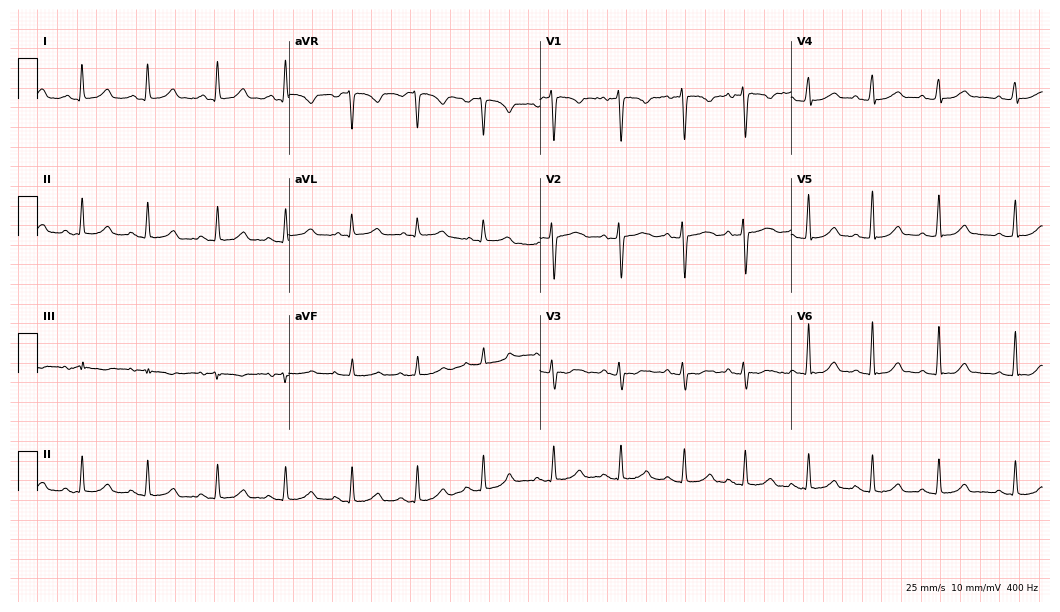
Standard 12-lead ECG recorded from a woman, 32 years old (10.2-second recording at 400 Hz). Read as a normal ECG.